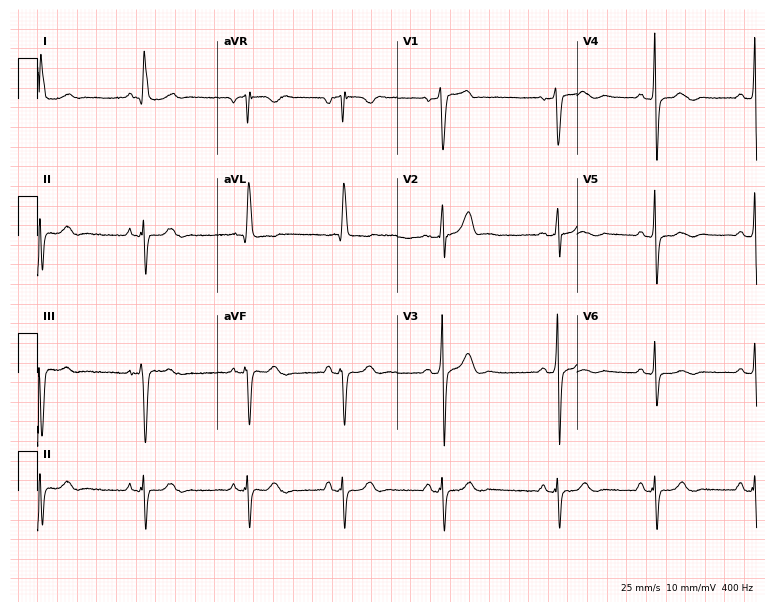
Electrocardiogram, a 64-year-old male. Of the six screened findings (first-degree AV block, right bundle branch block (RBBB), left bundle branch block (LBBB), sinus bradycardia, atrial fibrillation (AF), sinus tachycardia), none is recorded. Other findings, if any, are not listed.